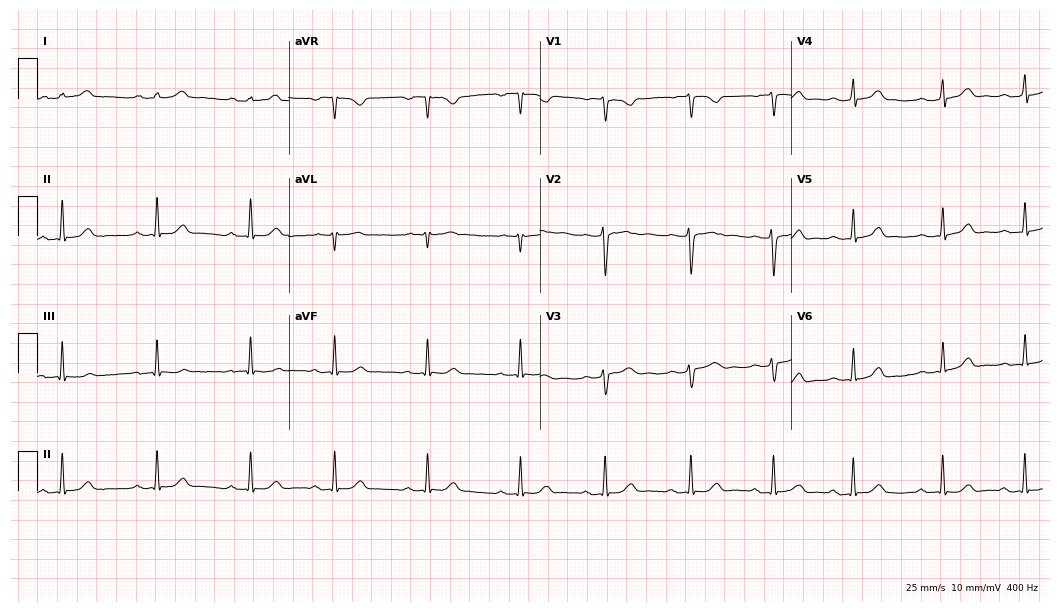
Electrocardiogram (10.2-second recording at 400 Hz), a 23-year-old woman. Interpretation includes first-degree AV block.